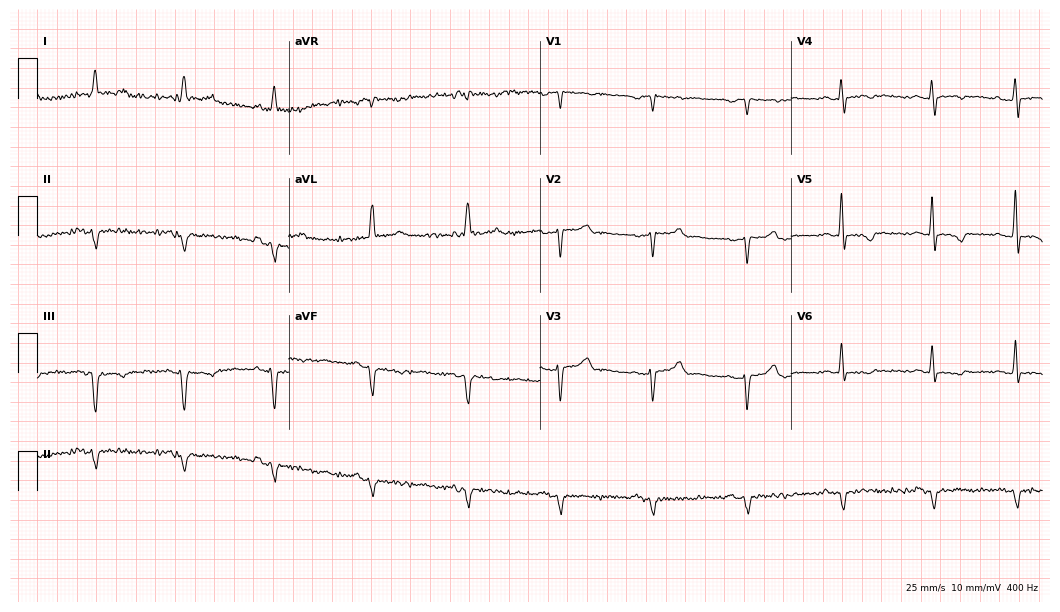
12-lead ECG from a 72-year-old man. Screened for six findings — first-degree AV block, right bundle branch block, left bundle branch block, sinus bradycardia, atrial fibrillation, sinus tachycardia — none is recorded. Only these six findings were labelled.